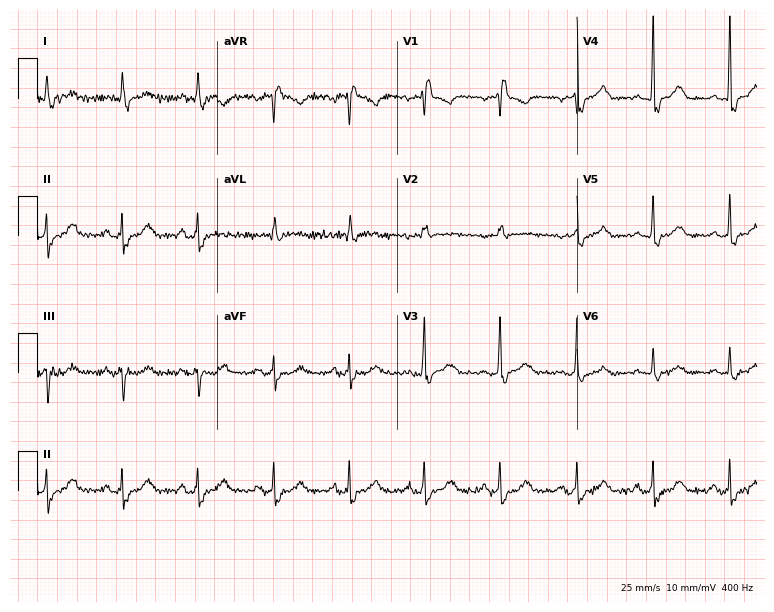
Electrocardiogram (7.3-second recording at 400 Hz), a male patient, 73 years old. Interpretation includes right bundle branch block (RBBB).